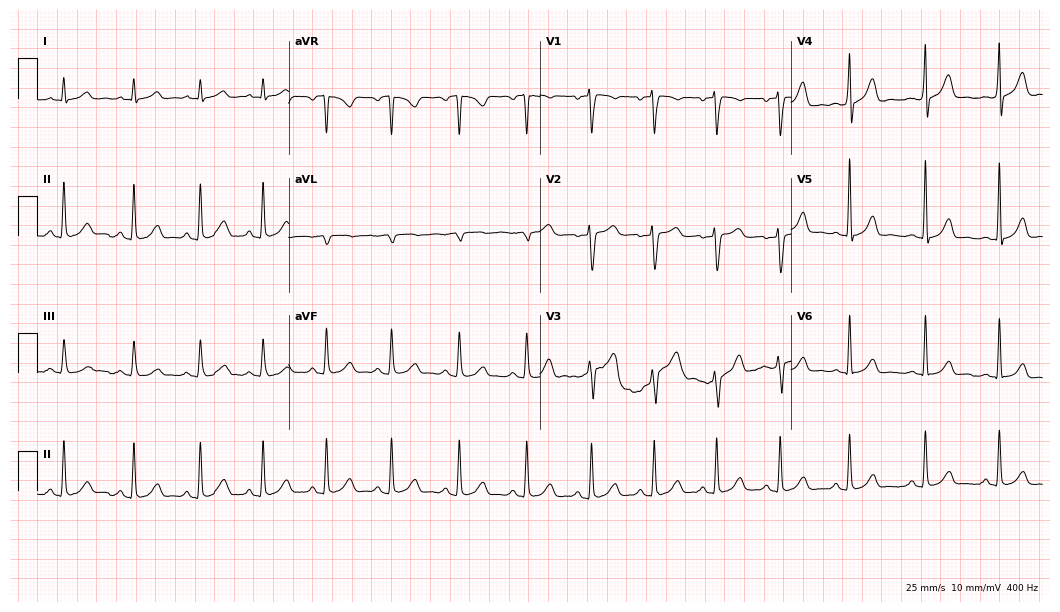
Resting 12-lead electrocardiogram (10.2-second recording at 400 Hz). Patient: a 35-year-old female. None of these six findings is recorded: first-degree AV block, right bundle branch block, left bundle branch block, sinus bradycardia, atrial fibrillation, sinus tachycardia.